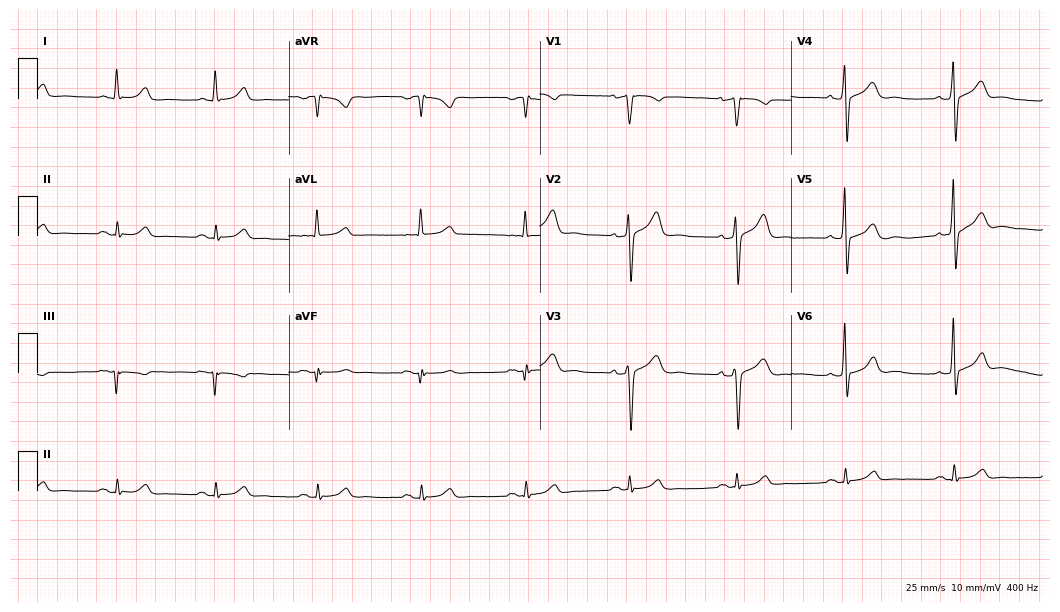
12-lead ECG from a 53-year-old male patient. Labelled as a normal ECG.